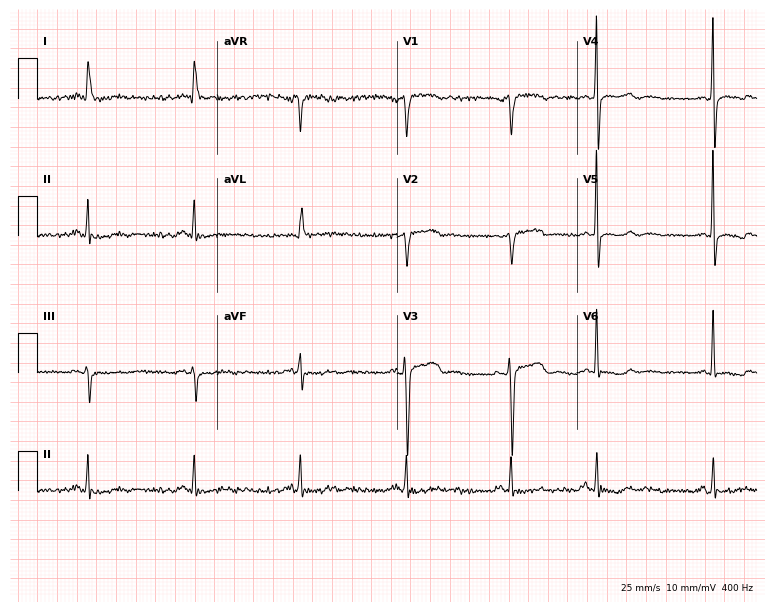
12-lead ECG from a 78-year-old female (7.3-second recording at 400 Hz). No first-degree AV block, right bundle branch block, left bundle branch block, sinus bradycardia, atrial fibrillation or sinus tachycardia recorded for this tracing. Only these six findings were labelled.